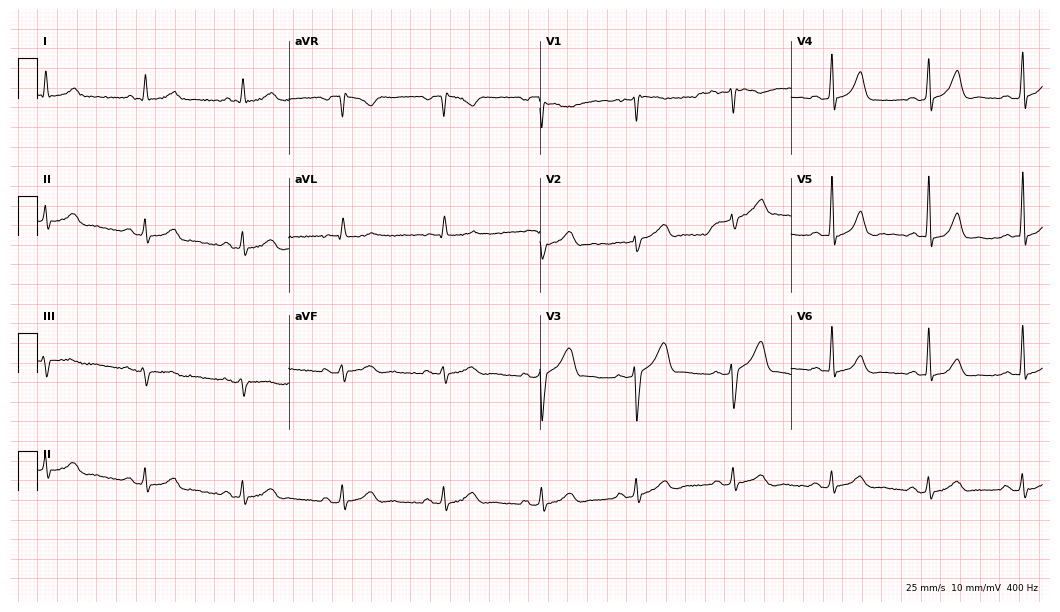
Electrocardiogram, a male patient, 66 years old. Overall reading on record: normal ECG.